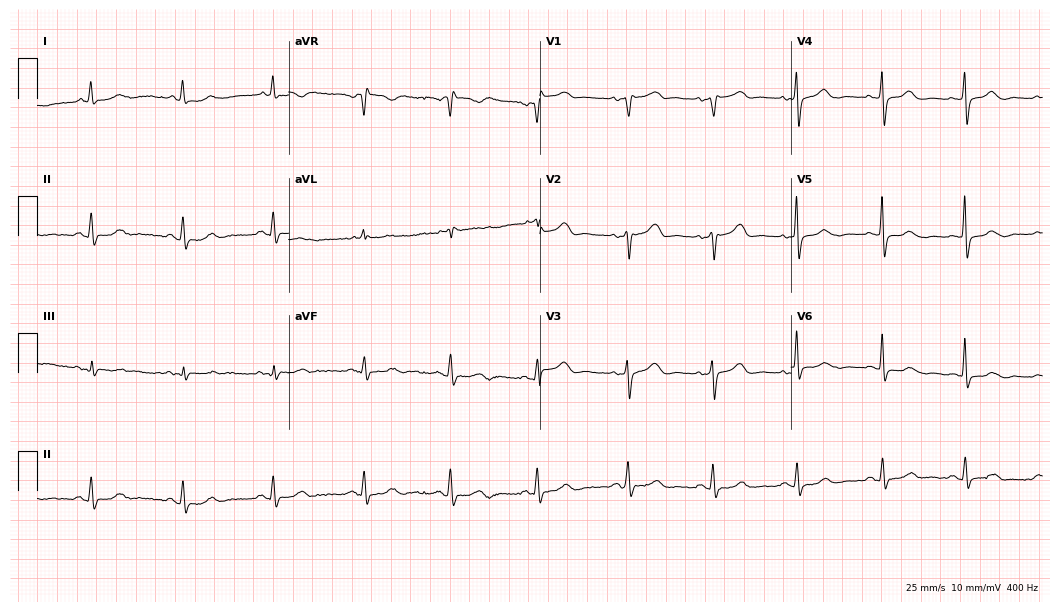
Electrocardiogram, a female patient, 72 years old. Of the six screened findings (first-degree AV block, right bundle branch block (RBBB), left bundle branch block (LBBB), sinus bradycardia, atrial fibrillation (AF), sinus tachycardia), none is recorded.